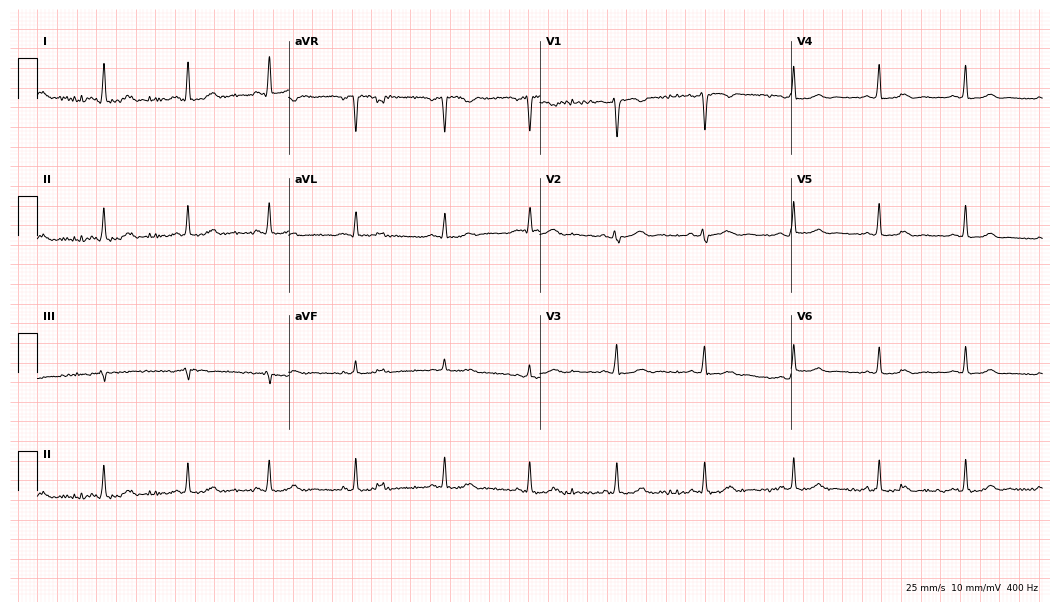
12-lead ECG from a woman, 24 years old. Labelled as a normal ECG.